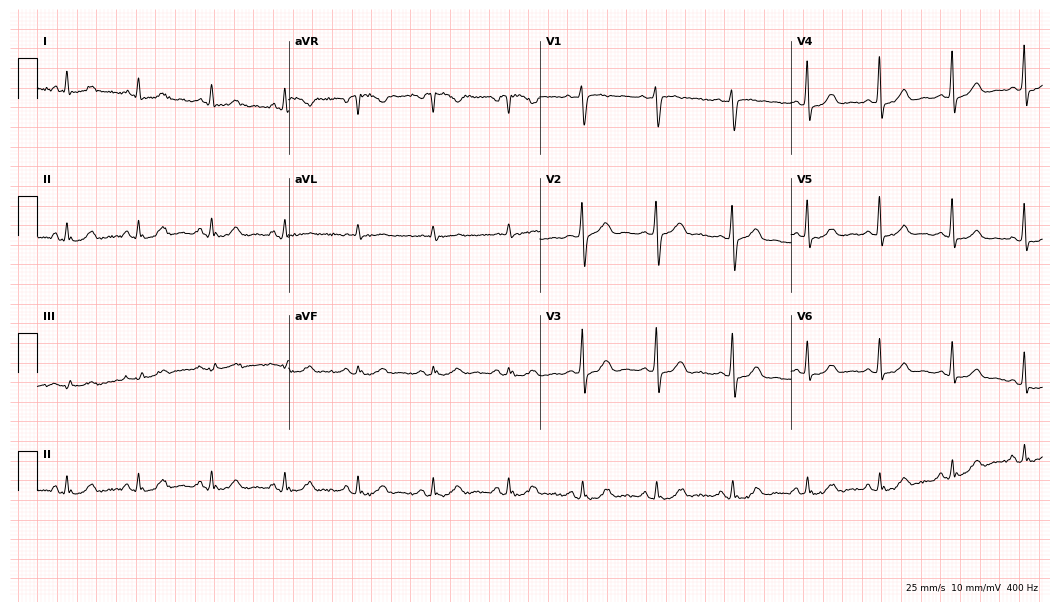
12-lead ECG from a female, 61 years old (10.2-second recording at 400 Hz). No first-degree AV block, right bundle branch block (RBBB), left bundle branch block (LBBB), sinus bradycardia, atrial fibrillation (AF) or sinus tachycardia recorded for this tracing.